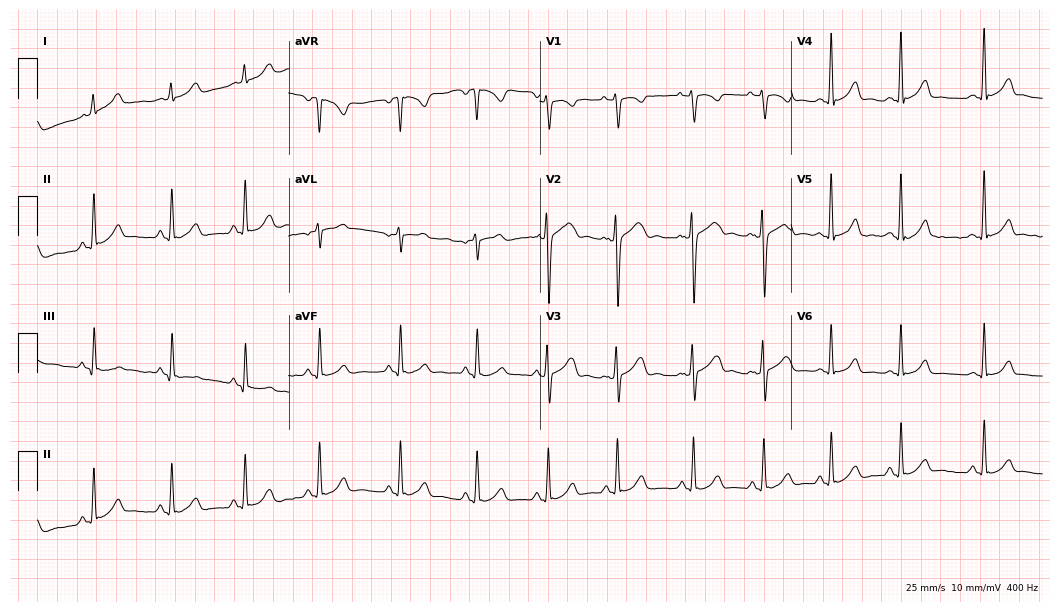
12-lead ECG from a male, 18 years old. Recorded interpretation: within normal limits.